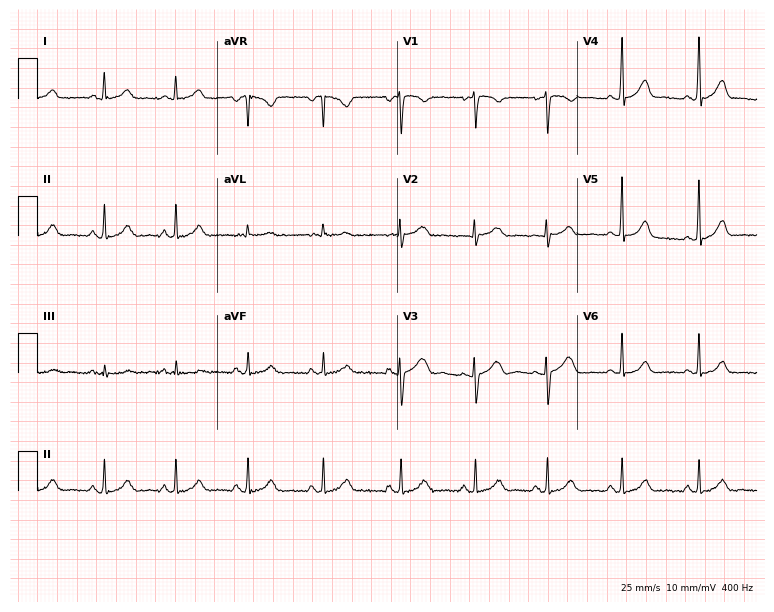
Electrocardiogram (7.3-second recording at 400 Hz), a female, 23 years old. Overall reading on record: normal ECG.